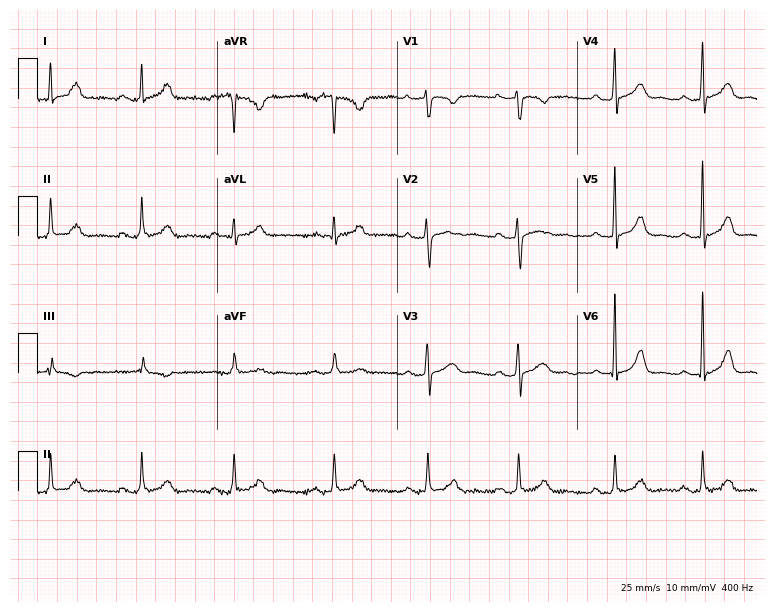
Resting 12-lead electrocardiogram. Patient: a 24-year-old woman. Read as a normal ECG.